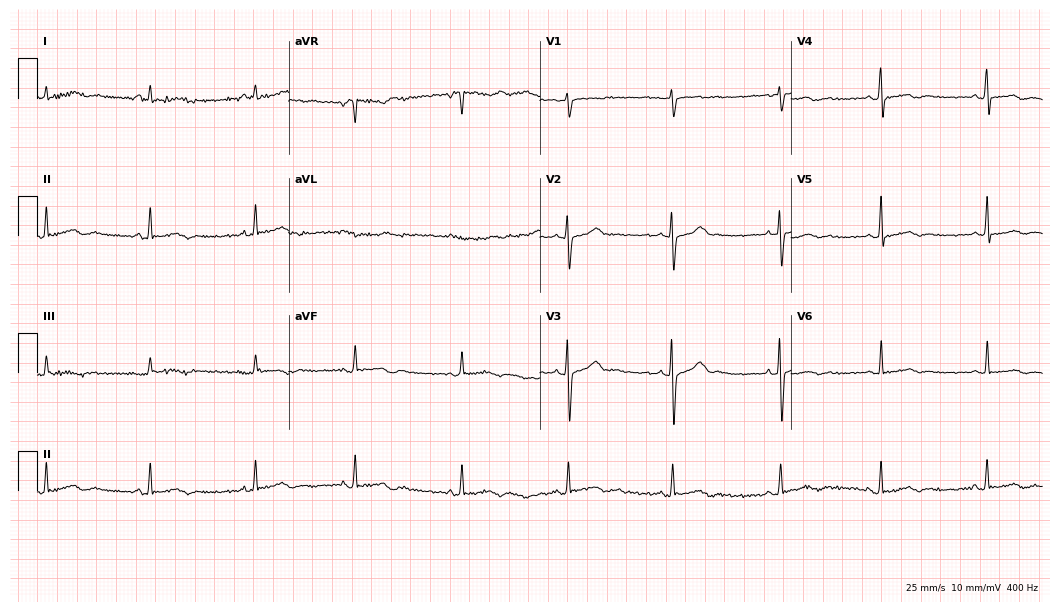
Resting 12-lead electrocardiogram. Patient: a 27-year-old woman. None of these six findings is recorded: first-degree AV block, right bundle branch block, left bundle branch block, sinus bradycardia, atrial fibrillation, sinus tachycardia. Findings outside these six are not listed.